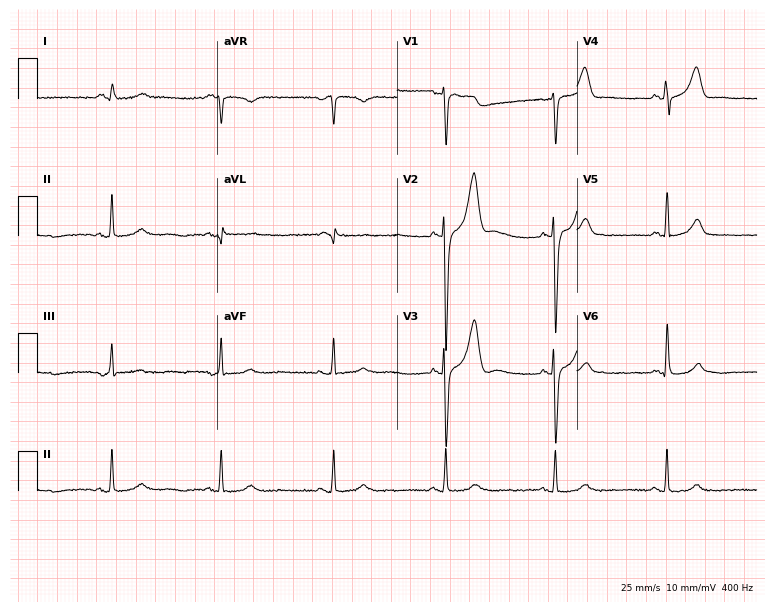
Standard 12-lead ECG recorded from a man, 48 years old. None of these six findings is recorded: first-degree AV block, right bundle branch block, left bundle branch block, sinus bradycardia, atrial fibrillation, sinus tachycardia.